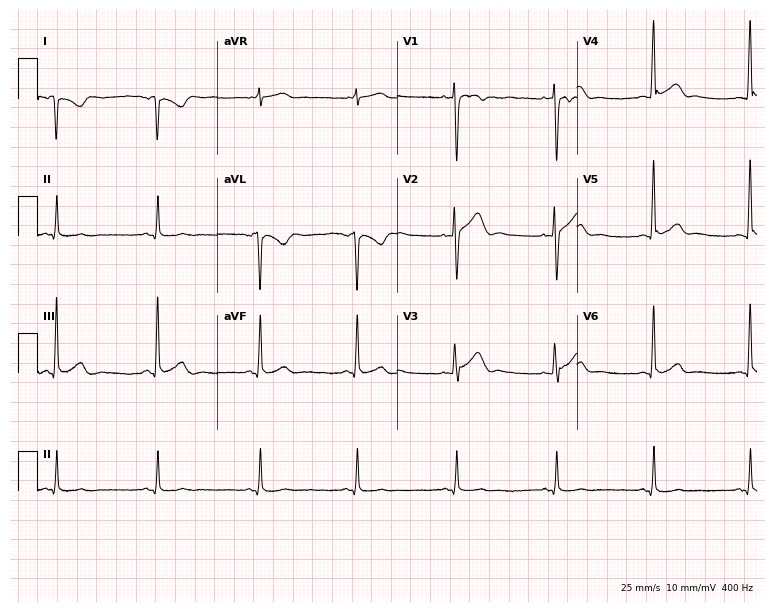
Standard 12-lead ECG recorded from a male patient, 28 years old. None of these six findings is recorded: first-degree AV block, right bundle branch block, left bundle branch block, sinus bradycardia, atrial fibrillation, sinus tachycardia. Other findings, if any, are not listed.